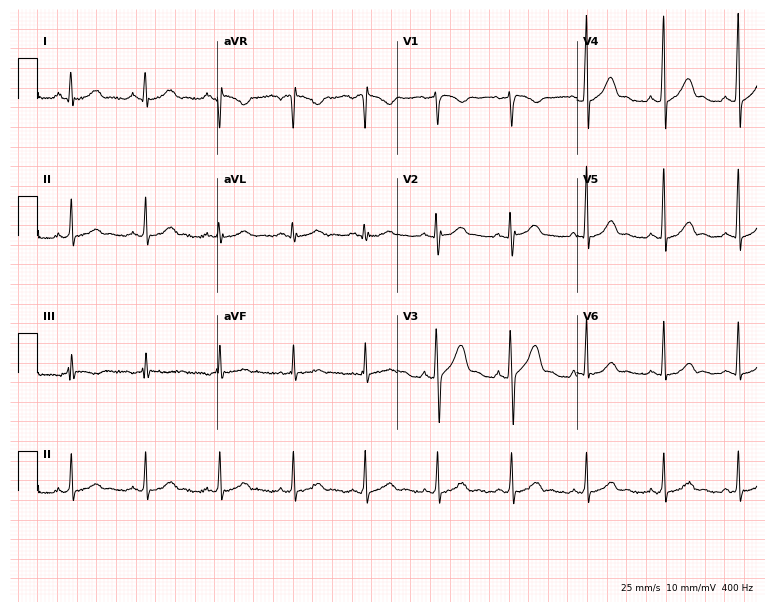
Standard 12-lead ECG recorded from a 34-year-old male patient (7.3-second recording at 400 Hz). Read as a normal ECG.